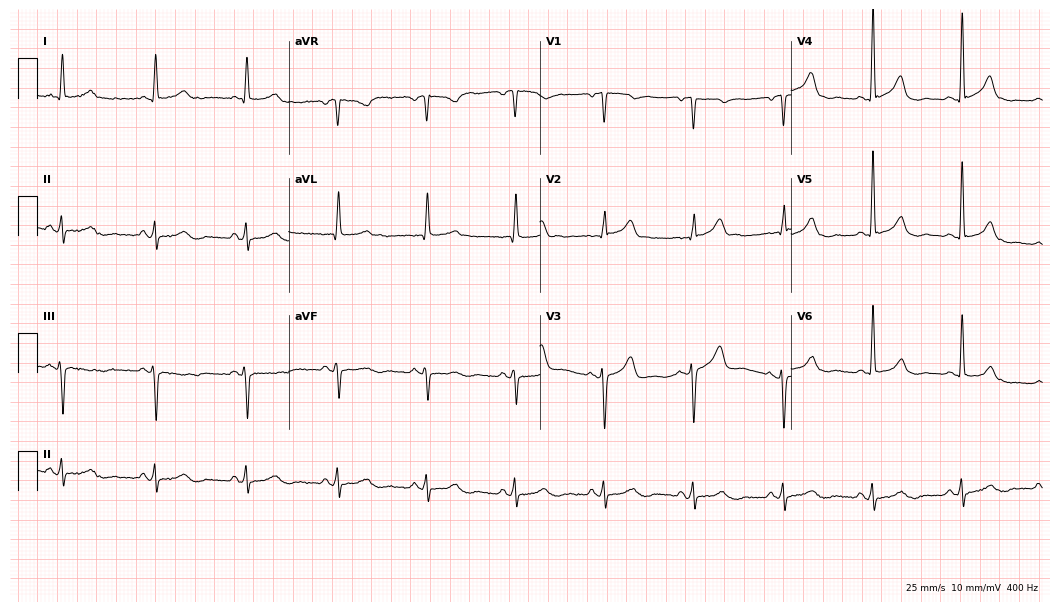
12-lead ECG from a 77-year-old male. Recorded interpretation: within normal limits.